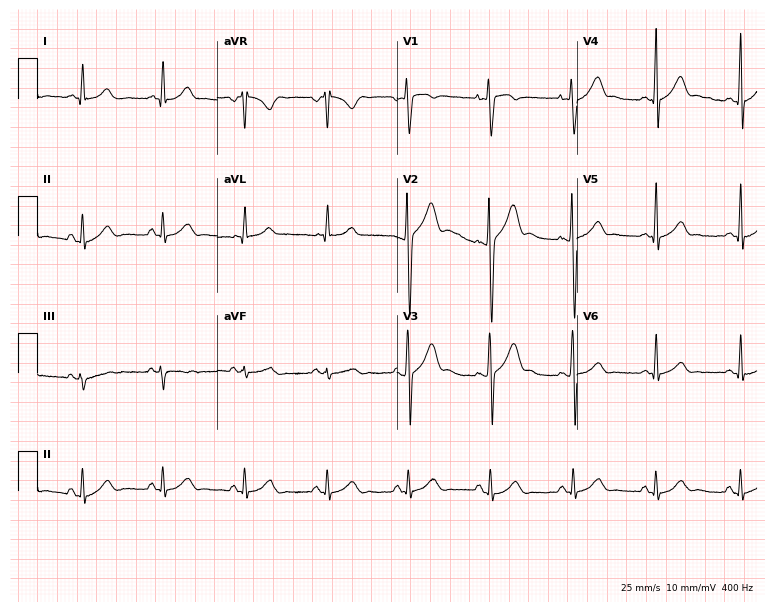
Resting 12-lead electrocardiogram. Patient: a male, 27 years old. Read as a normal ECG.